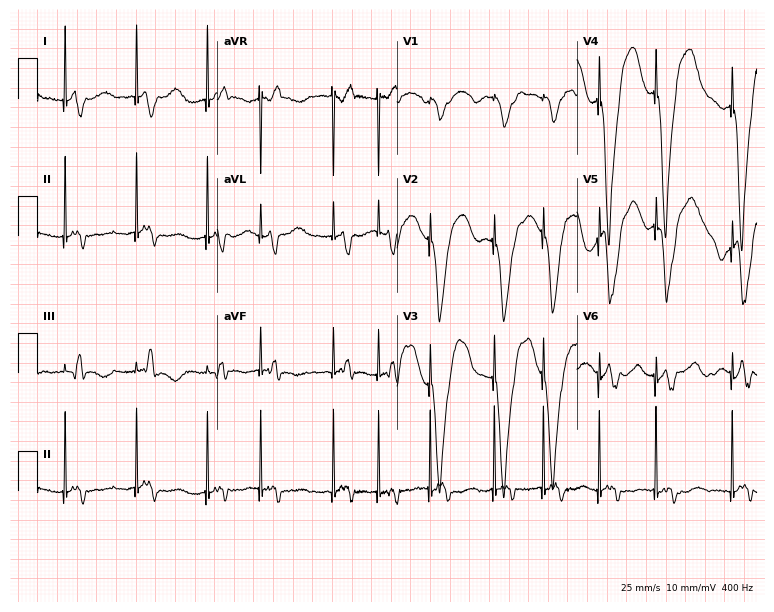
12-lead ECG (7.3-second recording at 400 Hz) from an 80-year-old woman. Findings include atrial fibrillation.